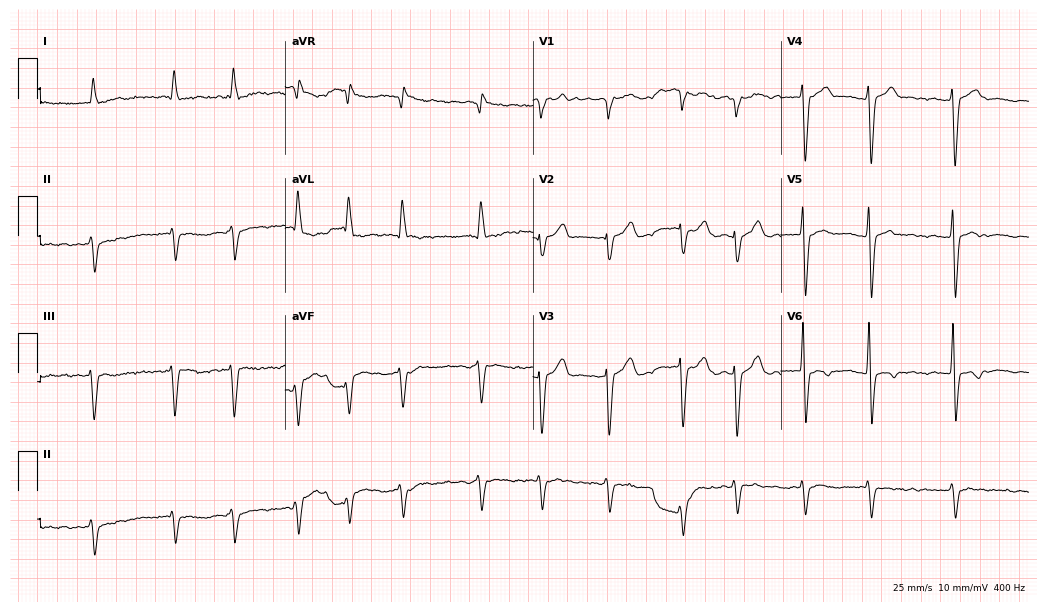
Resting 12-lead electrocardiogram. Patient: an 86-year-old man. The tracing shows atrial fibrillation.